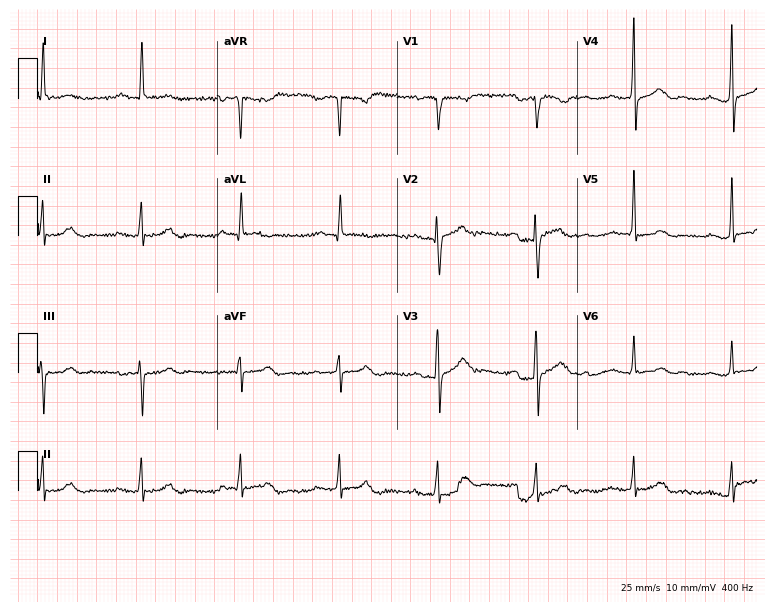
Standard 12-lead ECG recorded from an 84-year-old male patient (7.3-second recording at 400 Hz). Read as a normal ECG.